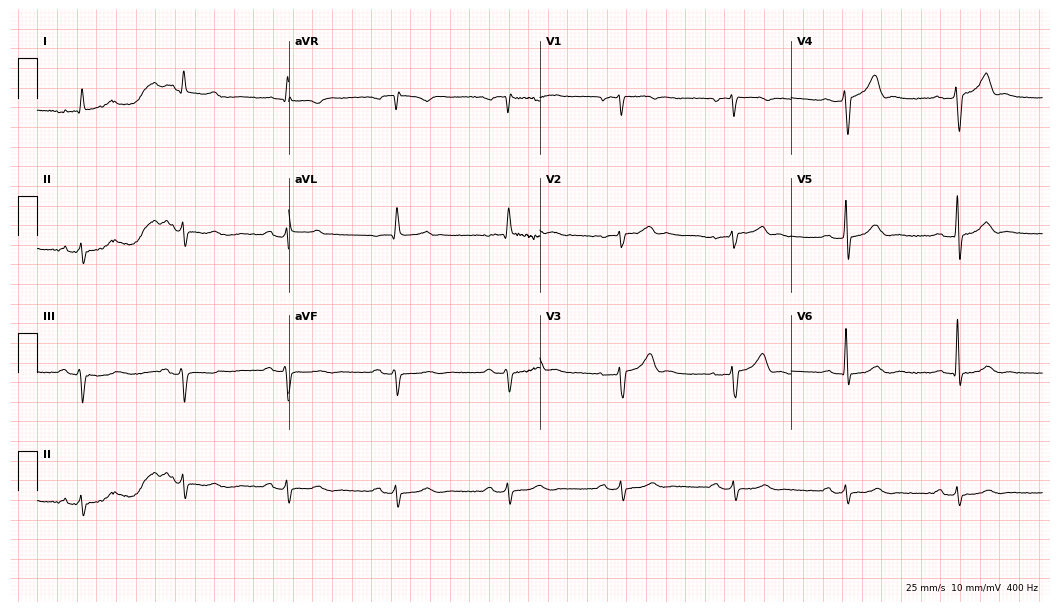
12-lead ECG from a 69-year-old man (10.2-second recording at 400 Hz). No first-degree AV block, right bundle branch block, left bundle branch block, sinus bradycardia, atrial fibrillation or sinus tachycardia recorded for this tracing.